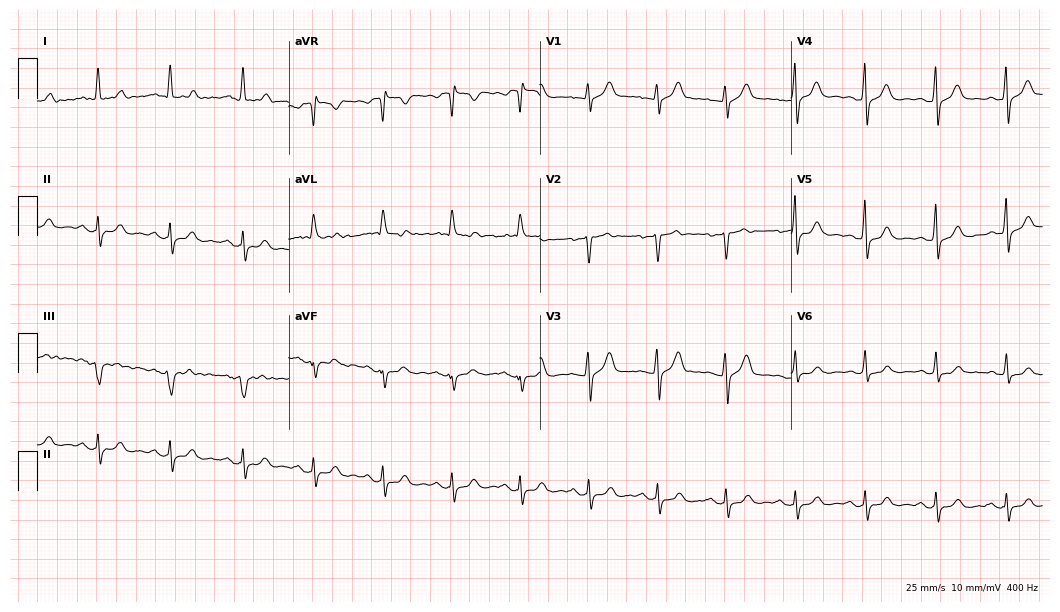
12-lead ECG (10.2-second recording at 400 Hz) from a 54-year-old female. Labelled as a normal ECG.